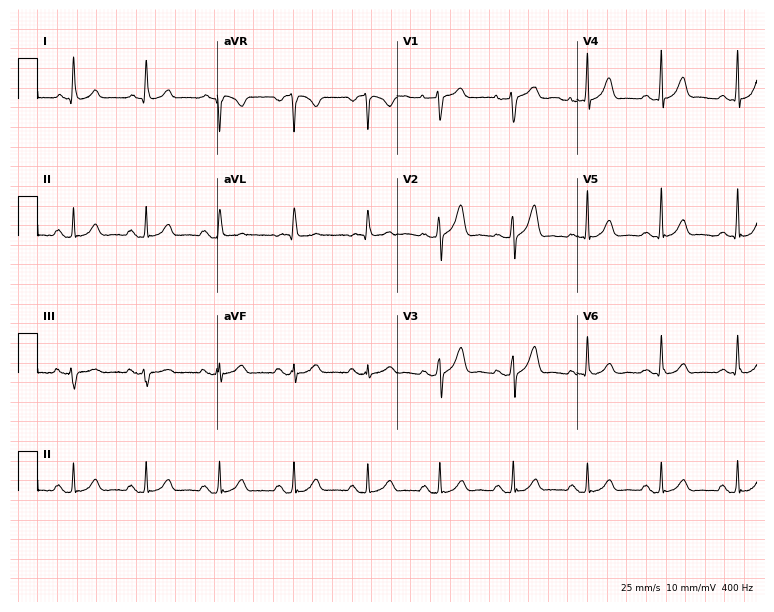
12-lead ECG (7.3-second recording at 400 Hz) from a male patient, 53 years old. Labelled as a normal ECG.